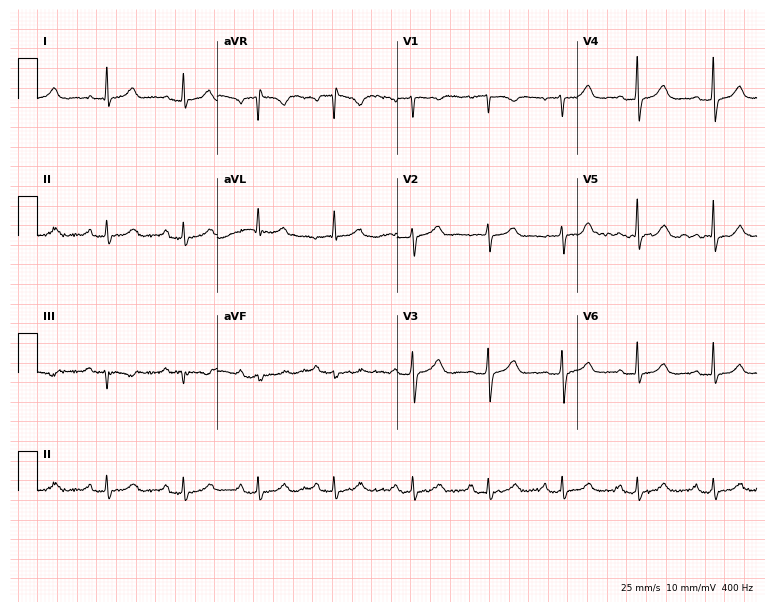
Standard 12-lead ECG recorded from a woman, 52 years old. None of these six findings is recorded: first-degree AV block, right bundle branch block, left bundle branch block, sinus bradycardia, atrial fibrillation, sinus tachycardia.